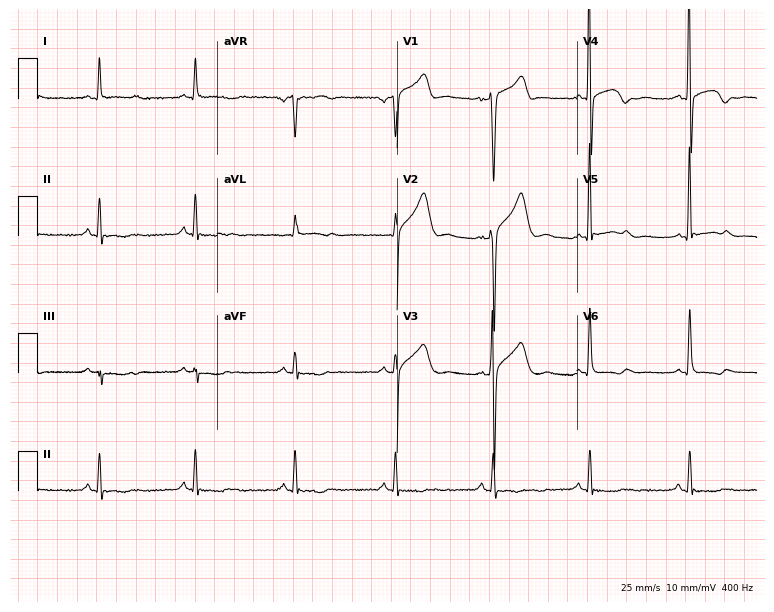
Resting 12-lead electrocardiogram (7.3-second recording at 400 Hz). Patient: a male, 76 years old. None of these six findings is recorded: first-degree AV block, right bundle branch block, left bundle branch block, sinus bradycardia, atrial fibrillation, sinus tachycardia.